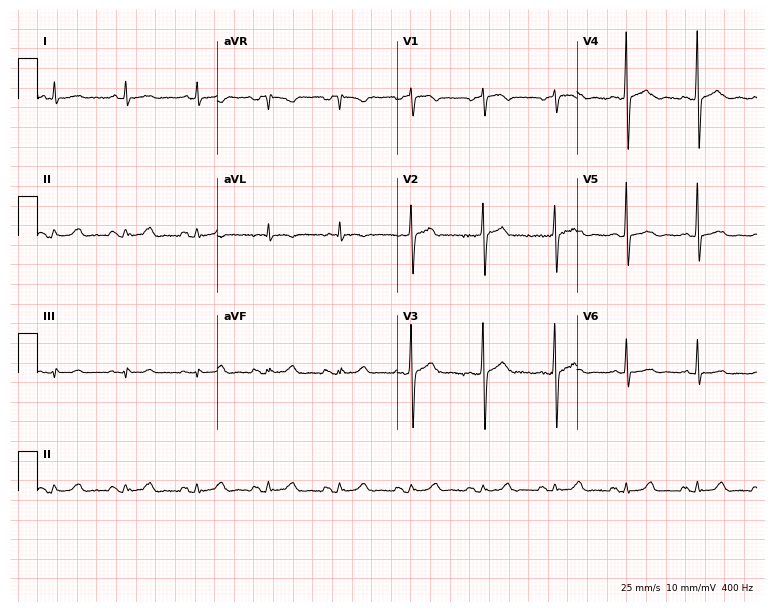
Resting 12-lead electrocardiogram (7.3-second recording at 400 Hz). Patient: a 75-year-old man. Read as a normal ECG.